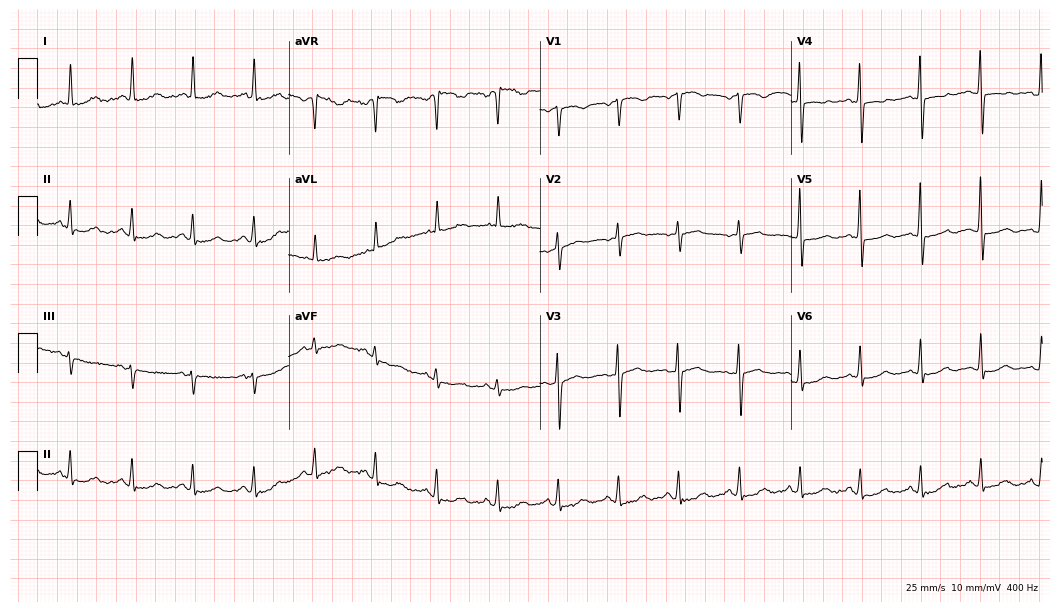
12-lead ECG (10.2-second recording at 400 Hz) from a 57-year-old female. Screened for six findings — first-degree AV block, right bundle branch block, left bundle branch block, sinus bradycardia, atrial fibrillation, sinus tachycardia — none is recorded. Findings outside these six are not listed.